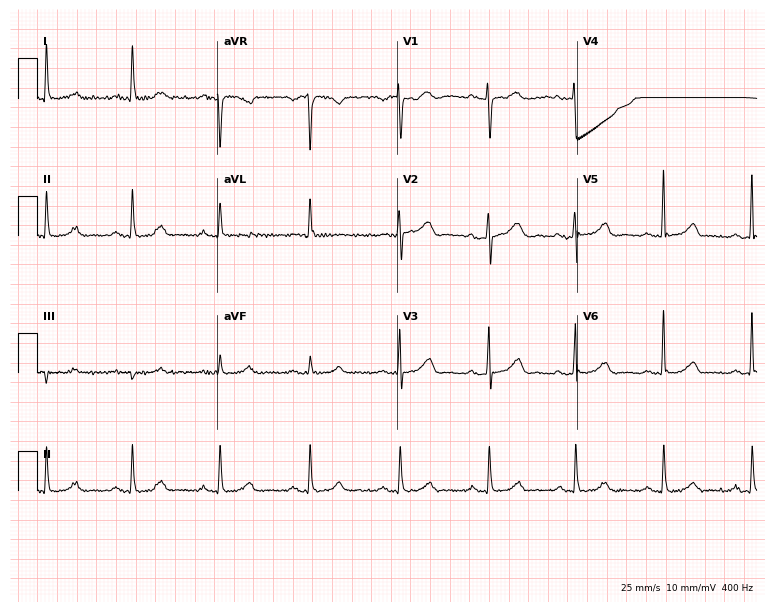
Standard 12-lead ECG recorded from a 61-year-old woman (7.3-second recording at 400 Hz). Read as a normal ECG.